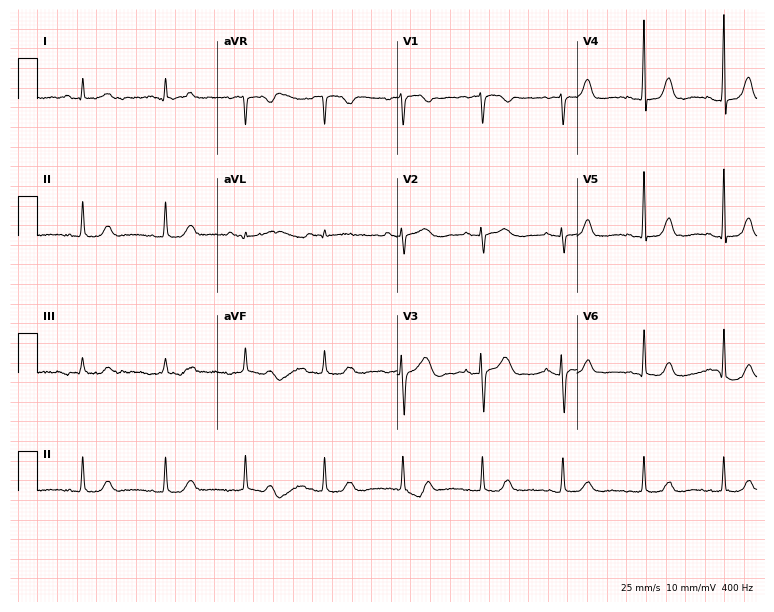
Resting 12-lead electrocardiogram (7.3-second recording at 400 Hz). Patient: a 44-year-old woman. Read as a normal ECG.